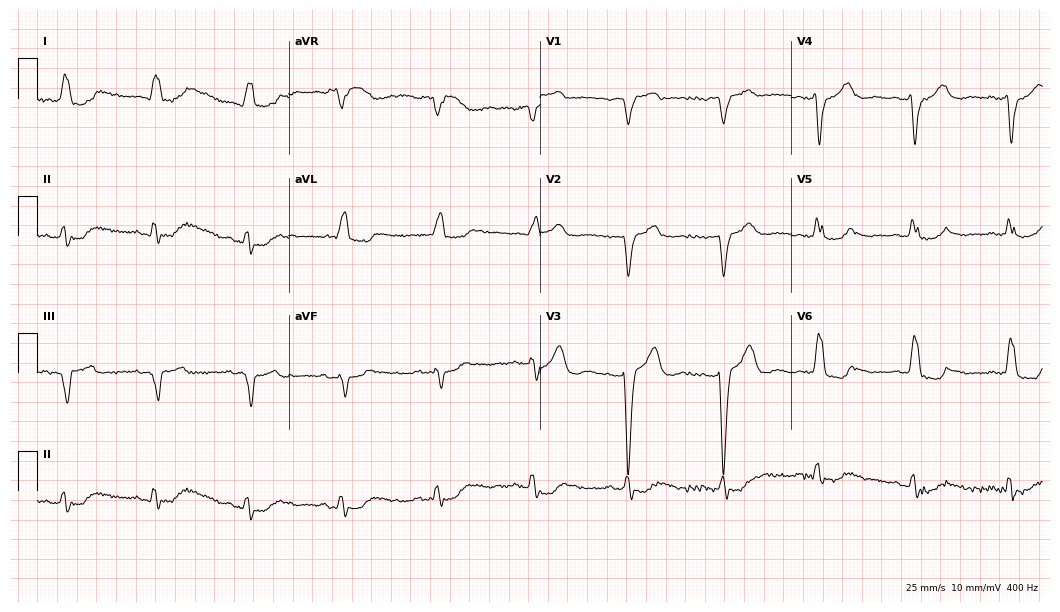
12-lead ECG from an 82-year-old female patient. Shows left bundle branch block (LBBB).